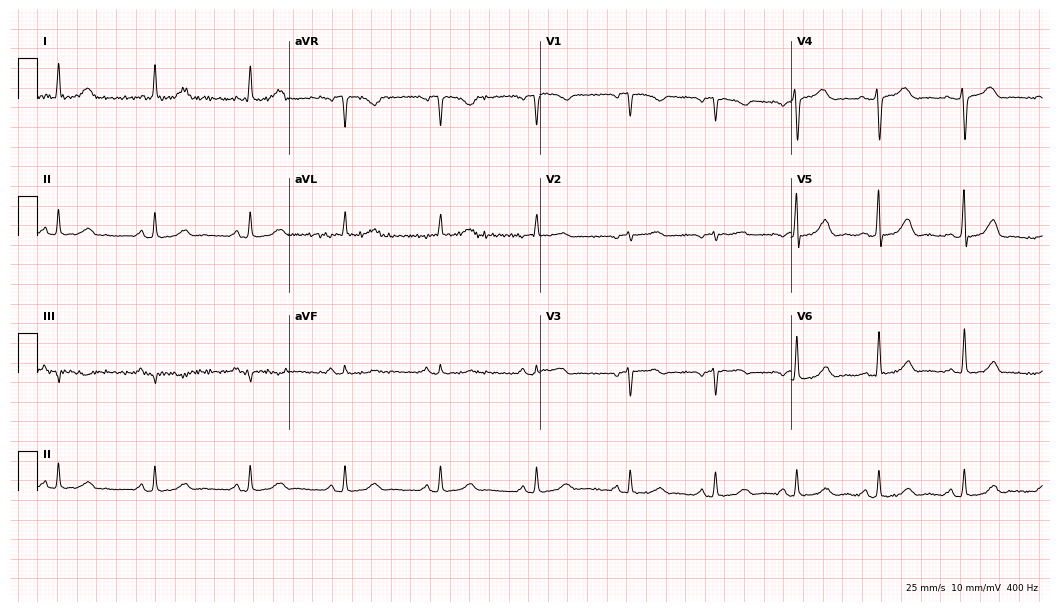
ECG — a female patient, 44 years old. Labelled as a normal ECG.